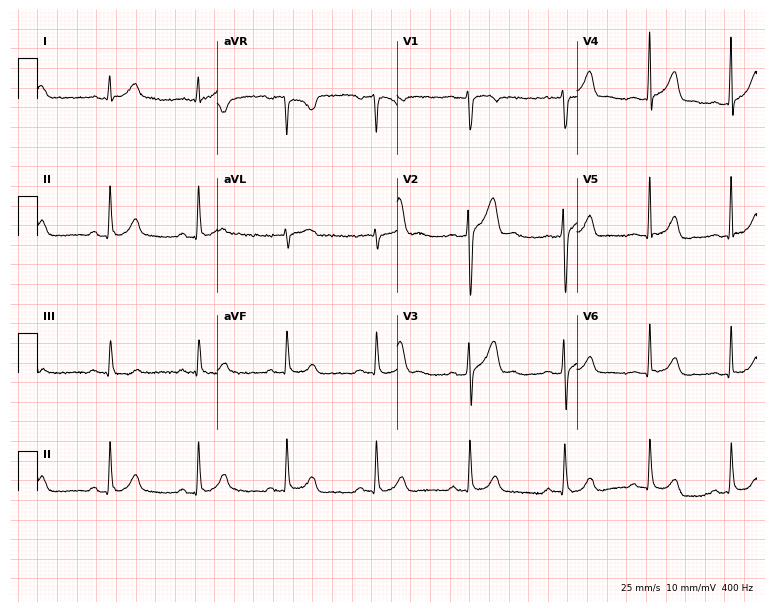
ECG — a 27-year-old male. Screened for six findings — first-degree AV block, right bundle branch block, left bundle branch block, sinus bradycardia, atrial fibrillation, sinus tachycardia — none is recorded.